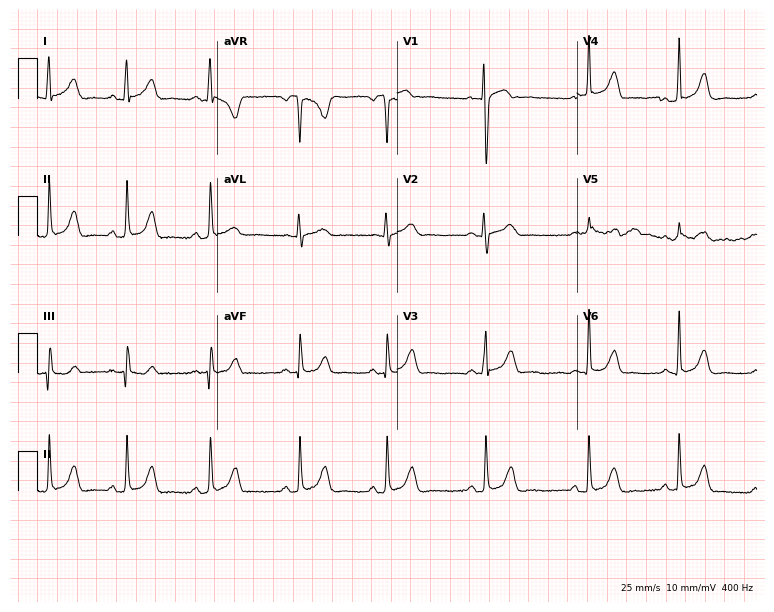
ECG — a female, 18 years old. Labelled as a normal ECG.